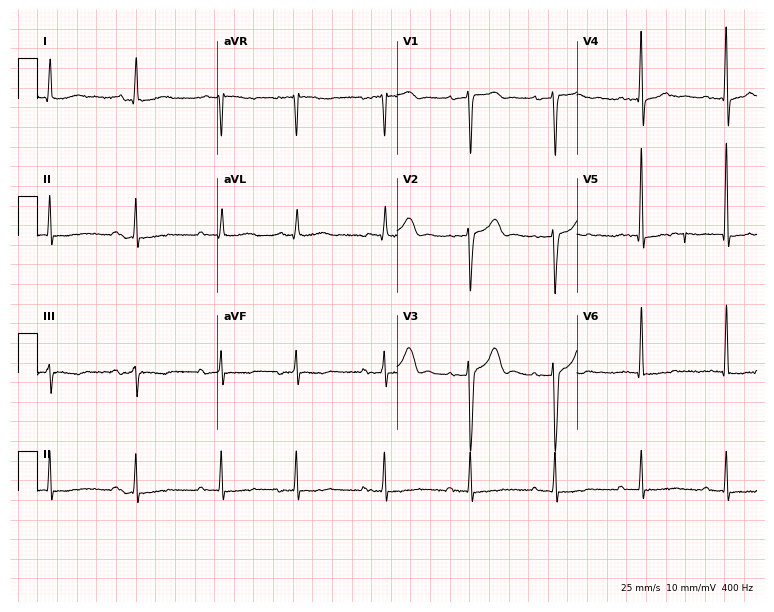
Electrocardiogram, a 76-year-old male. Of the six screened findings (first-degree AV block, right bundle branch block, left bundle branch block, sinus bradycardia, atrial fibrillation, sinus tachycardia), none is recorded. Other findings, if any, are not listed.